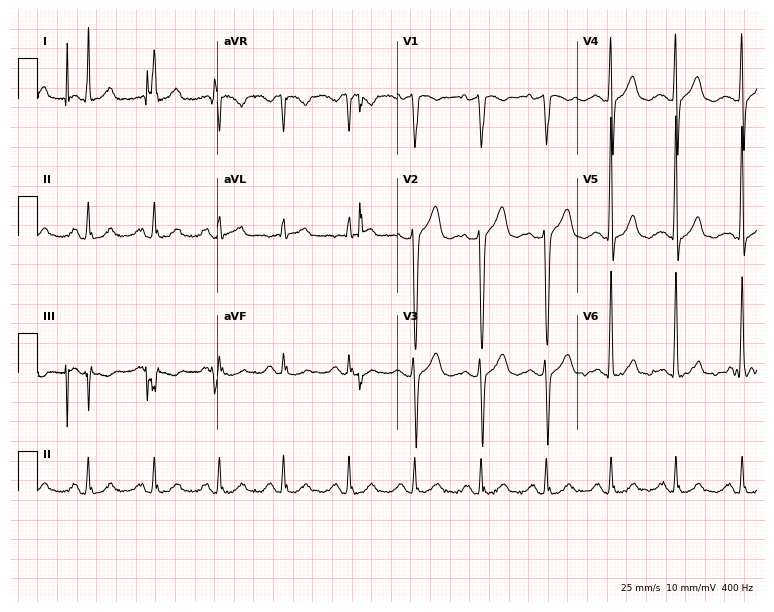
Electrocardiogram (7.3-second recording at 400 Hz), a 65-year-old man. Overall reading on record: normal ECG.